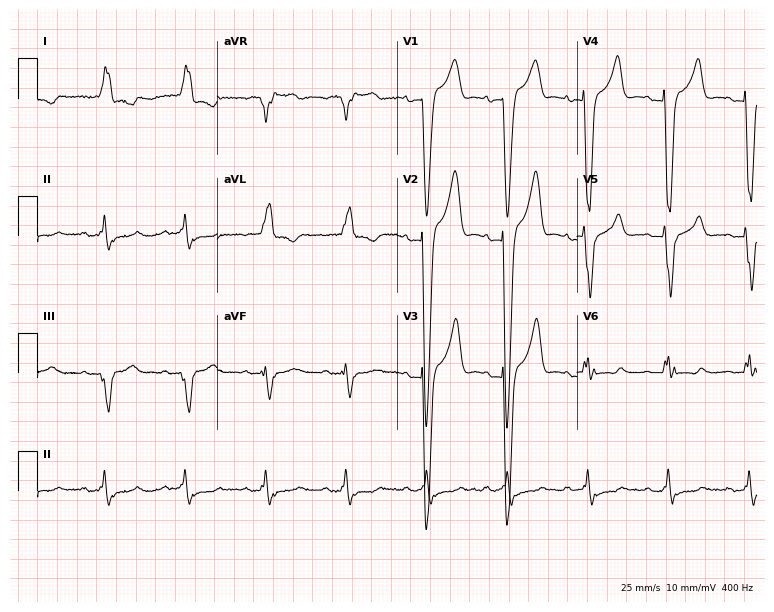
12-lead ECG from a female, 74 years old (7.3-second recording at 400 Hz). Shows left bundle branch block.